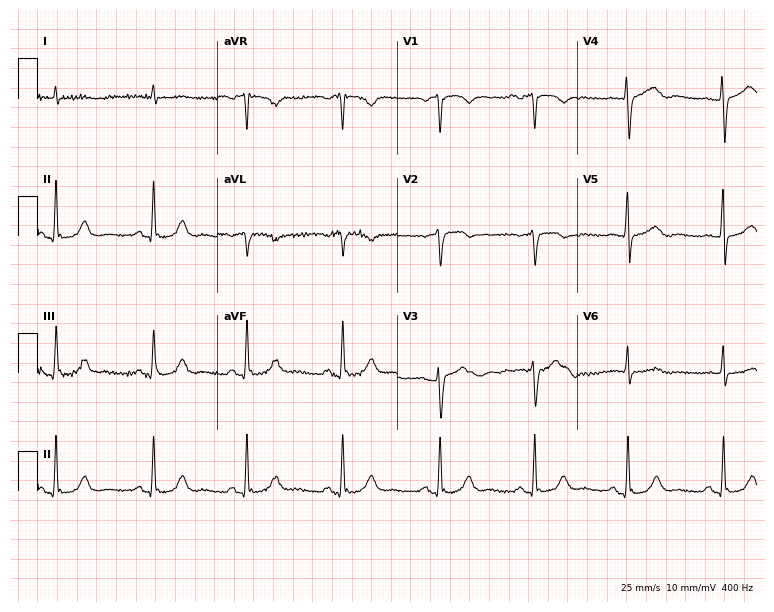
Standard 12-lead ECG recorded from a 76-year-old male (7.3-second recording at 400 Hz). Read as a normal ECG.